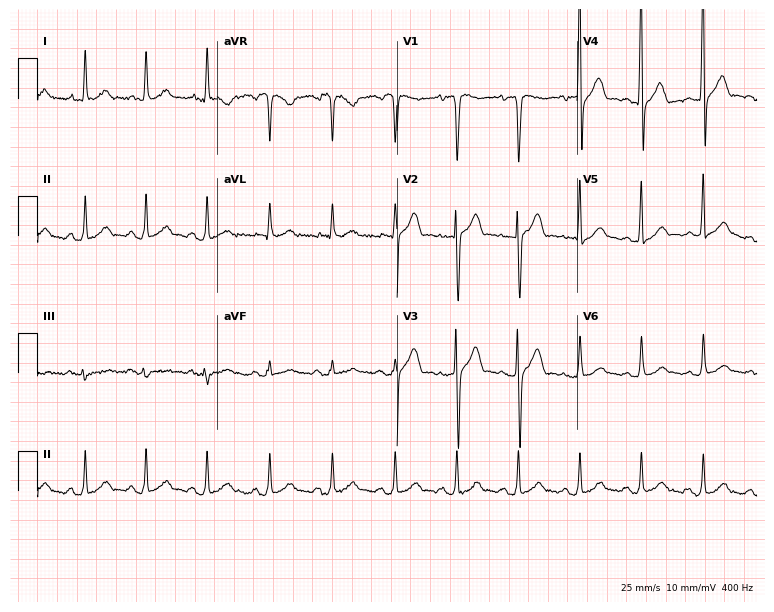
ECG — a 42-year-old male. Labelled as a normal ECG.